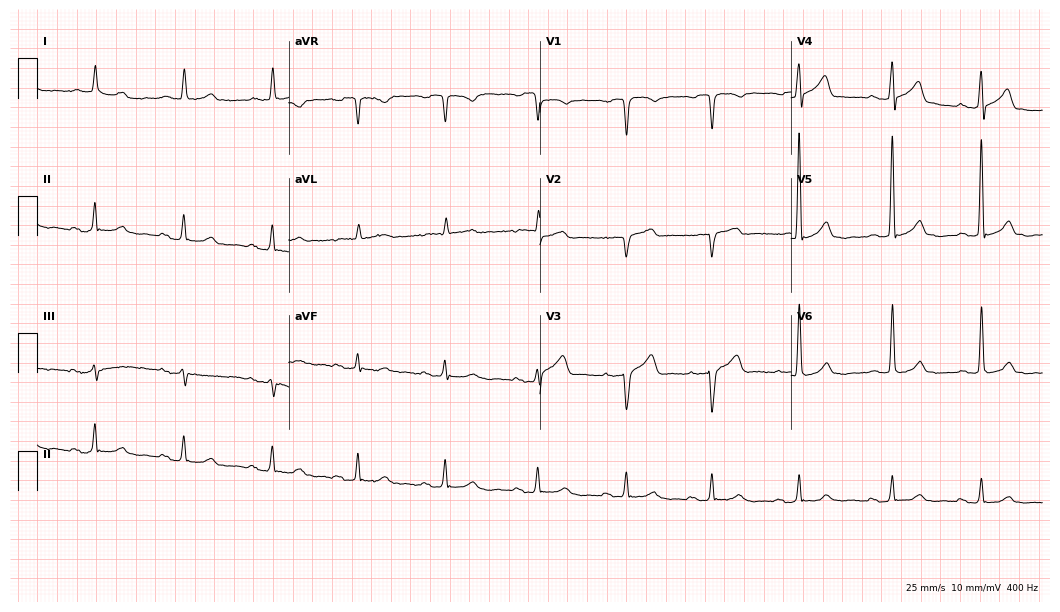
12-lead ECG from a male patient, 84 years old. Findings include first-degree AV block.